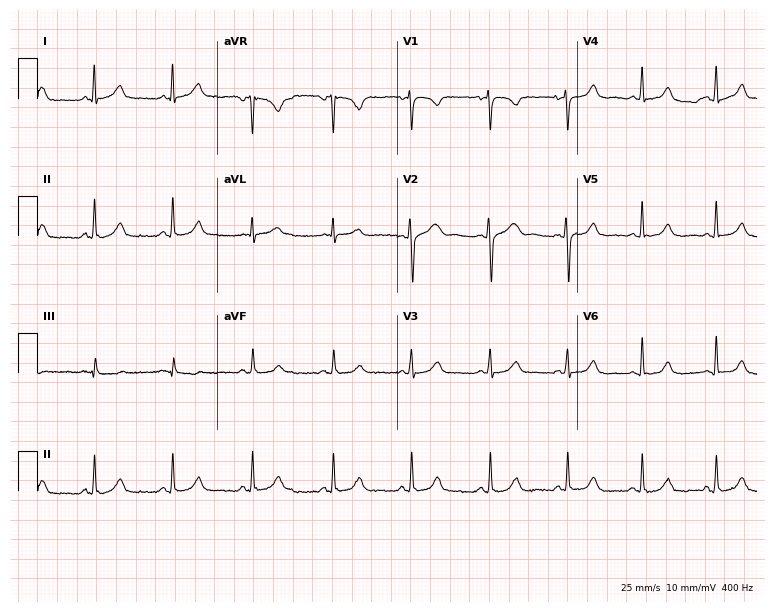
12-lead ECG from a woman, 24 years old. No first-degree AV block, right bundle branch block (RBBB), left bundle branch block (LBBB), sinus bradycardia, atrial fibrillation (AF) or sinus tachycardia recorded for this tracing. Only these six findings were labelled.